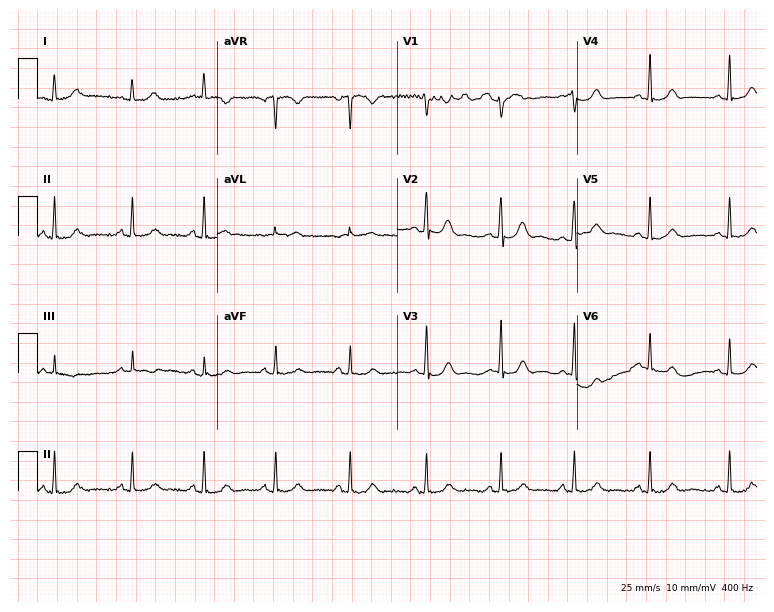
Standard 12-lead ECG recorded from a 43-year-old female. None of these six findings is recorded: first-degree AV block, right bundle branch block, left bundle branch block, sinus bradycardia, atrial fibrillation, sinus tachycardia.